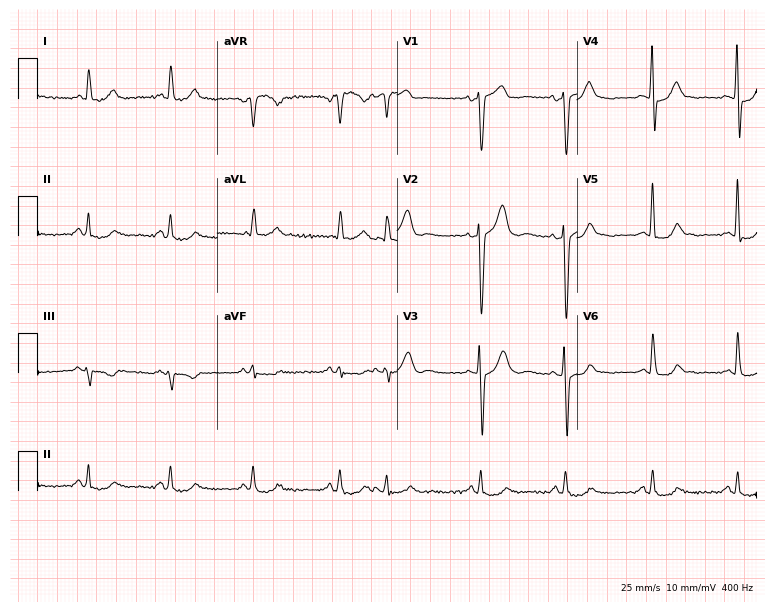
12-lead ECG from a male, 63 years old. No first-degree AV block, right bundle branch block (RBBB), left bundle branch block (LBBB), sinus bradycardia, atrial fibrillation (AF) or sinus tachycardia recorded for this tracing.